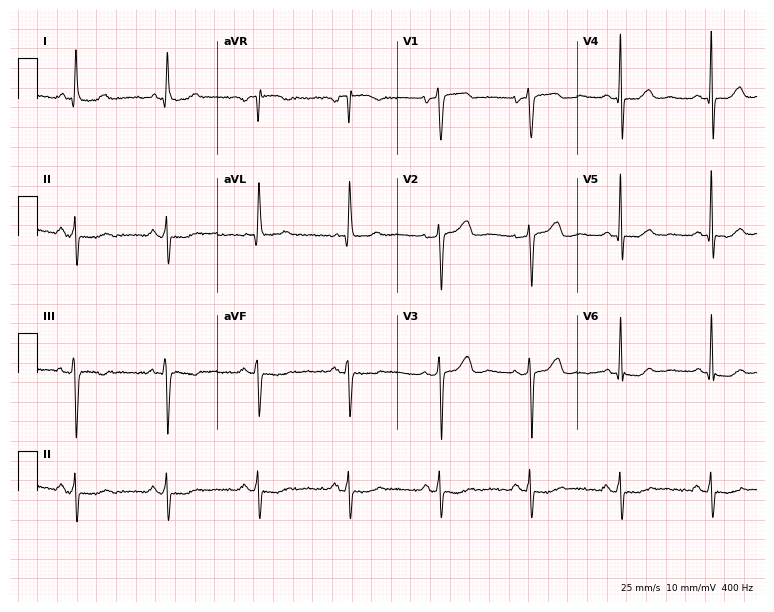
Electrocardiogram, a 73-year-old female patient. Of the six screened findings (first-degree AV block, right bundle branch block, left bundle branch block, sinus bradycardia, atrial fibrillation, sinus tachycardia), none is recorded. Findings outside these six are not listed.